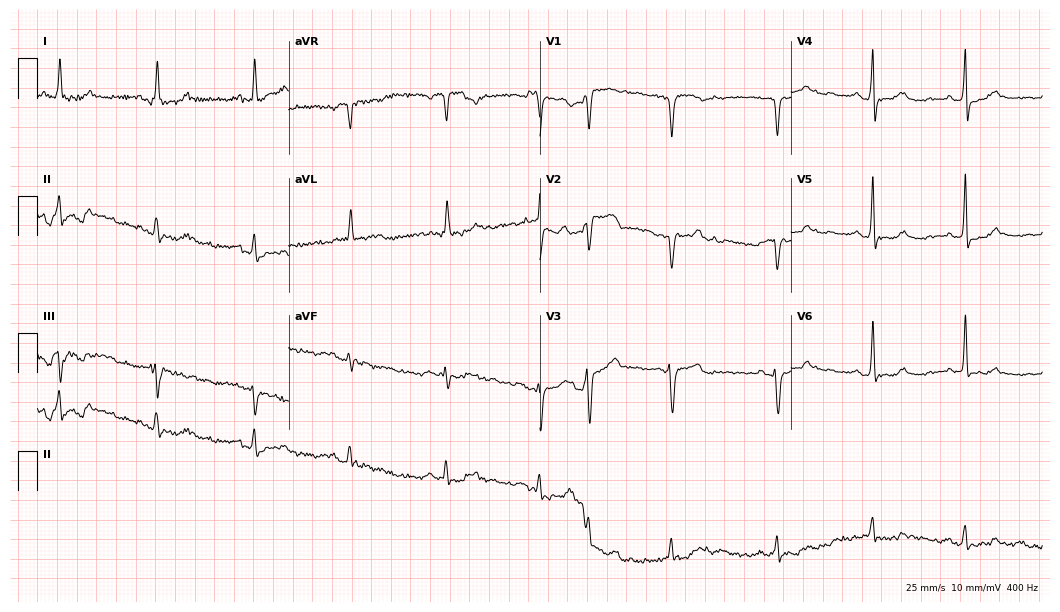
Standard 12-lead ECG recorded from a 67-year-old woman. None of these six findings is recorded: first-degree AV block, right bundle branch block (RBBB), left bundle branch block (LBBB), sinus bradycardia, atrial fibrillation (AF), sinus tachycardia.